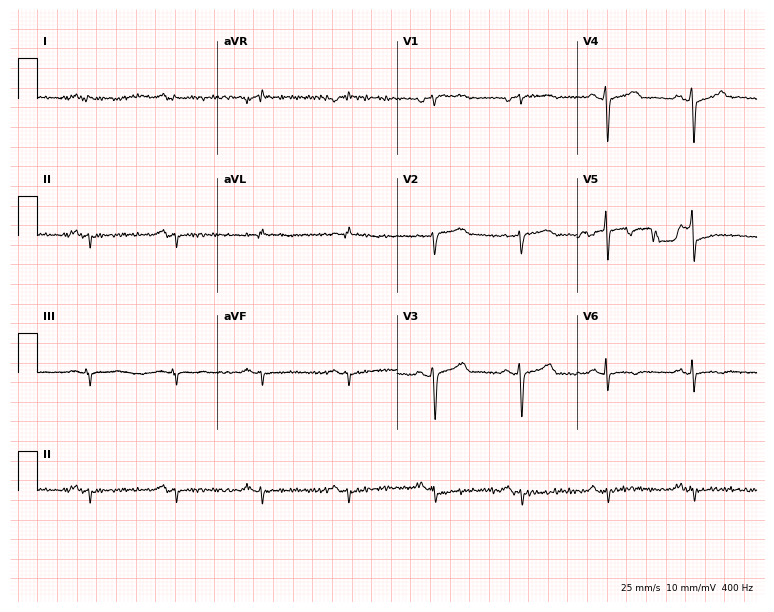
Resting 12-lead electrocardiogram. Patient: a male, 68 years old. None of these six findings is recorded: first-degree AV block, right bundle branch block, left bundle branch block, sinus bradycardia, atrial fibrillation, sinus tachycardia.